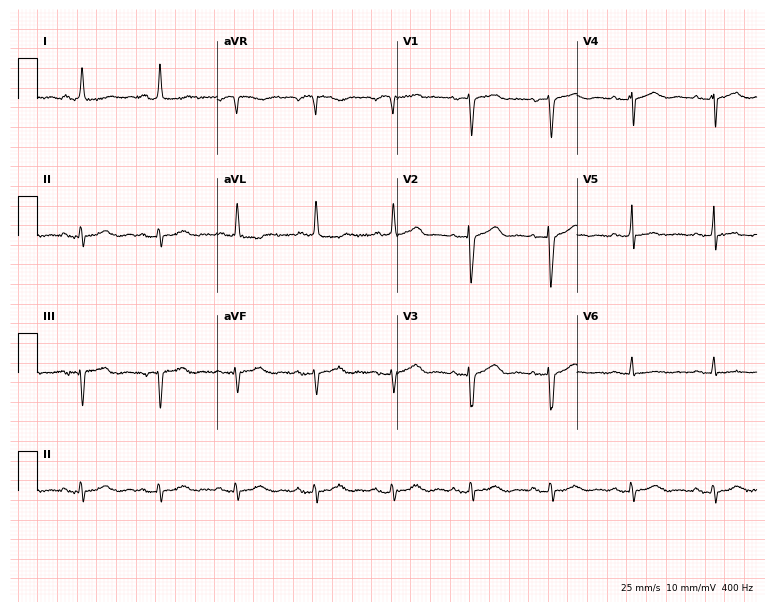
ECG — a female patient, 81 years old. Screened for six findings — first-degree AV block, right bundle branch block, left bundle branch block, sinus bradycardia, atrial fibrillation, sinus tachycardia — none is recorded. Findings outside these six are not listed.